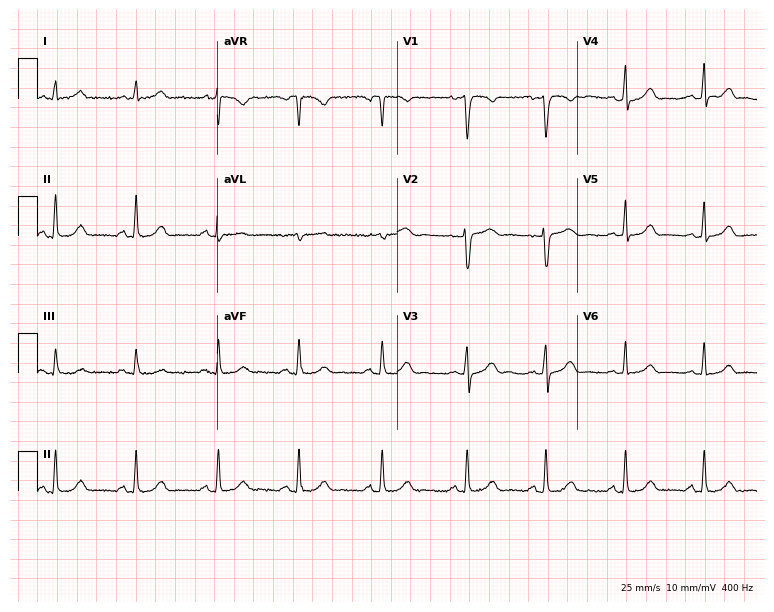
Resting 12-lead electrocardiogram. Patient: a 36-year-old female. Read as a normal ECG.